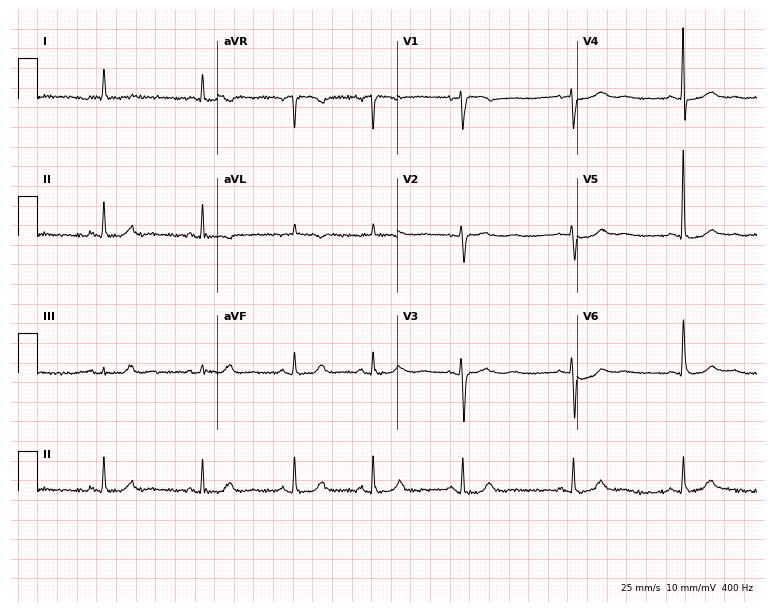
Standard 12-lead ECG recorded from a 75-year-old female patient (7.3-second recording at 400 Hz). None of these six findings is recorded: first-degree AV block, right bundle branch block, left bundle branch block, sinus bradycardia, atrial fibrillation, sinus tachycardia. Other findings, if any, are not listed.